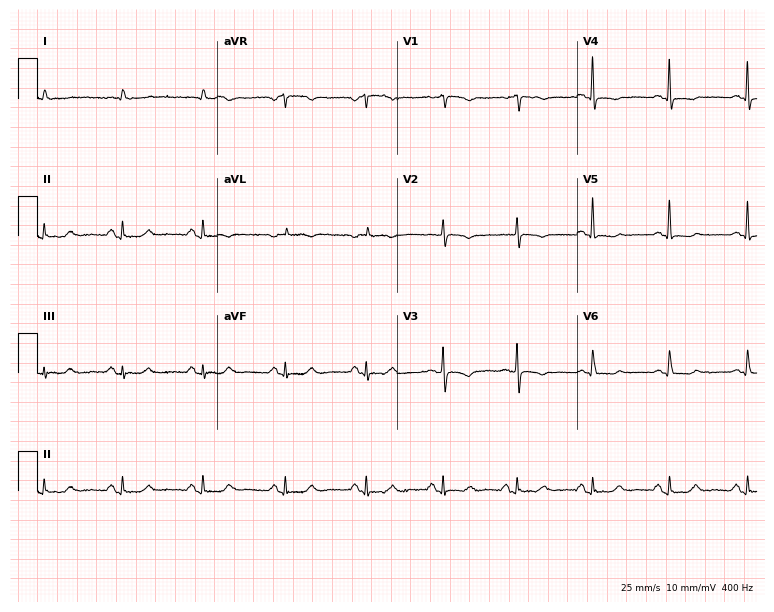
Electrocardiogram, a 74-year-old female. Of the six screened findings (first-degree AV block, right bundle branch block, left bundle branch block, sinus bradycardia, atrial fibrillation, sinus tachycardia), none is recorded.